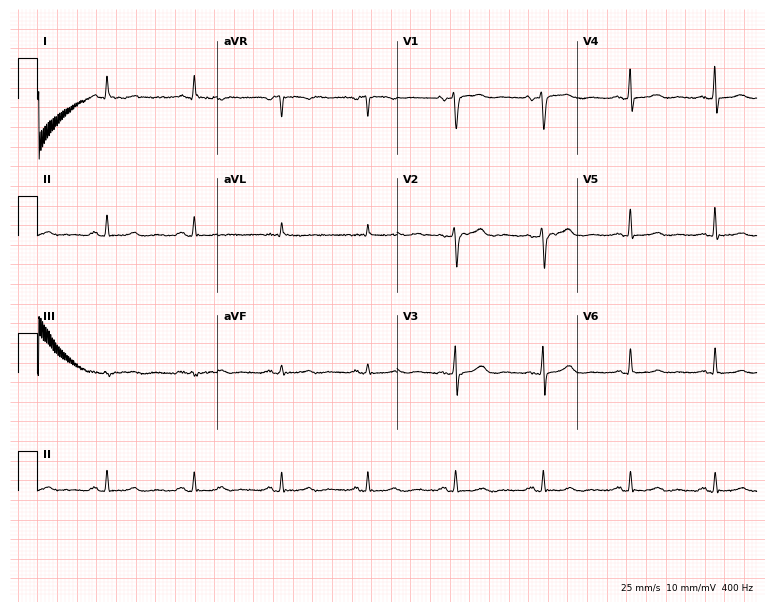
Electrocardiogram (7.3-second recording at 400 Hz), a 55-year-old female patient. Overall reading on record: normal ECG.